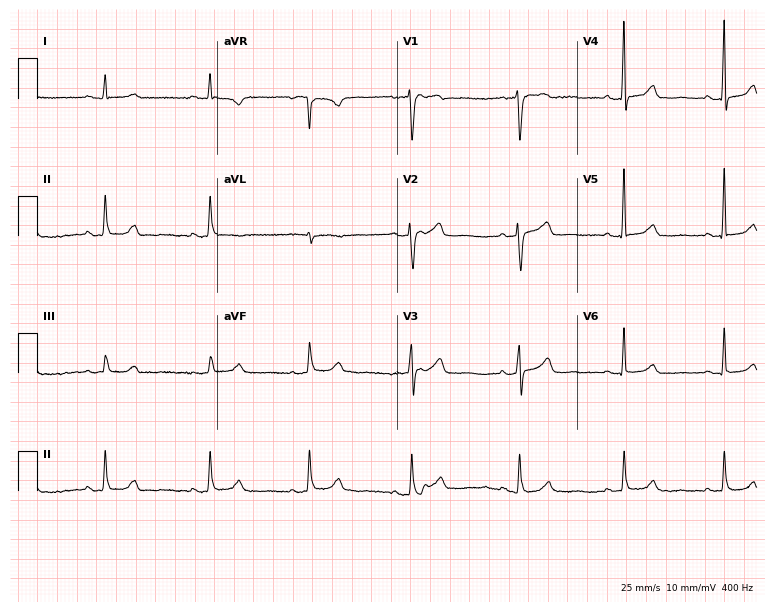
12-lead ECG from a 39-year-old female. Labelled as a normal ECG.